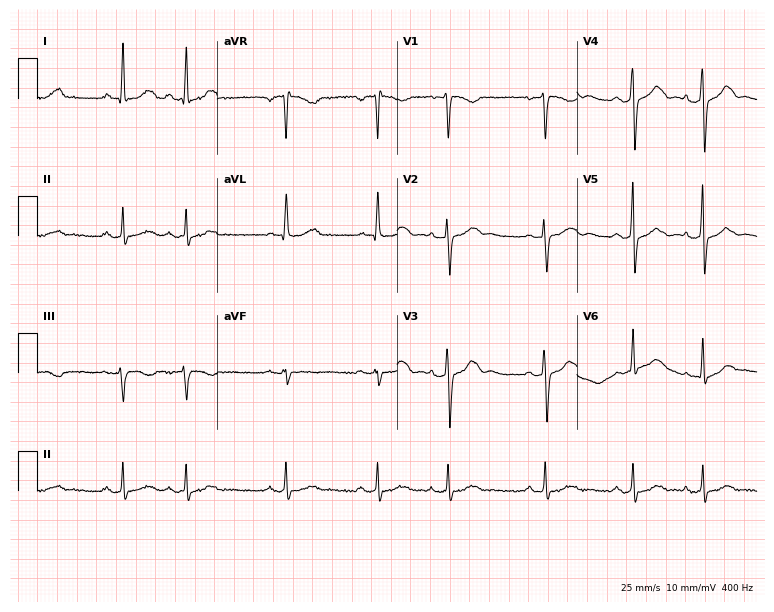
ECG — a 45-year-old woman. Screened for six findings — first-degree AV block, right bundle branch block, left bundle branch block, sinus bradycardia, atrial fibrillation, sinus tachycardia — none is recorded.